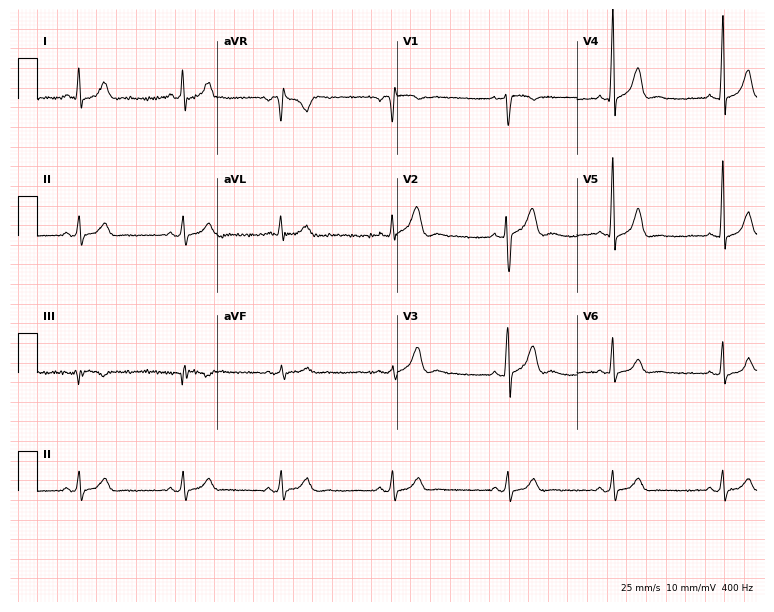
Resting 12-lead electrocardiogram (7.3-second recording at 400 Hz). Patient: a male, 26 years old. None of these six findings is recorded: first-degree AV block, right bundle branch block, left bundle branch block, sinus bradycardia, atrial fibrillation, sinus tachycardia.